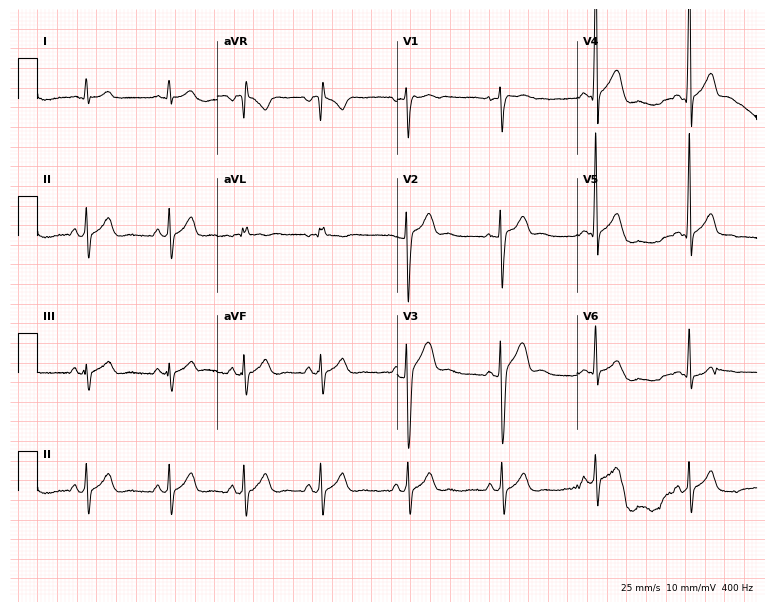
12-lead ECG from a 21-year-old man (7.3-second recording at 400 Hz). No first-degree AV block, right bundle branch block (RBBB), left bundle branch block (LBBB), sinus bradycardia, atrial fibrillation (AF) or sinus tachycardia recorded for this tracing. Only these six findings were labelled.